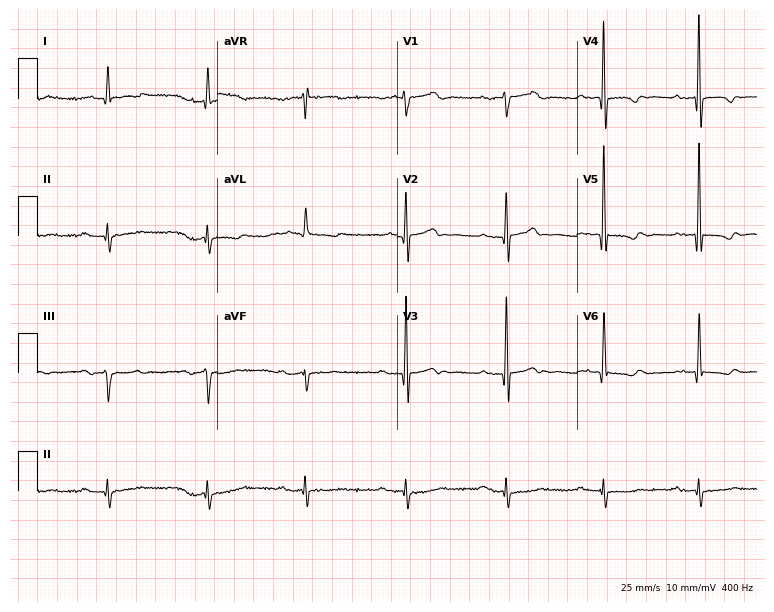
12-lead ECG (7.3-second recording at 400 Hz) from an 85-year-old male patient. Findings include first-degree AV block.